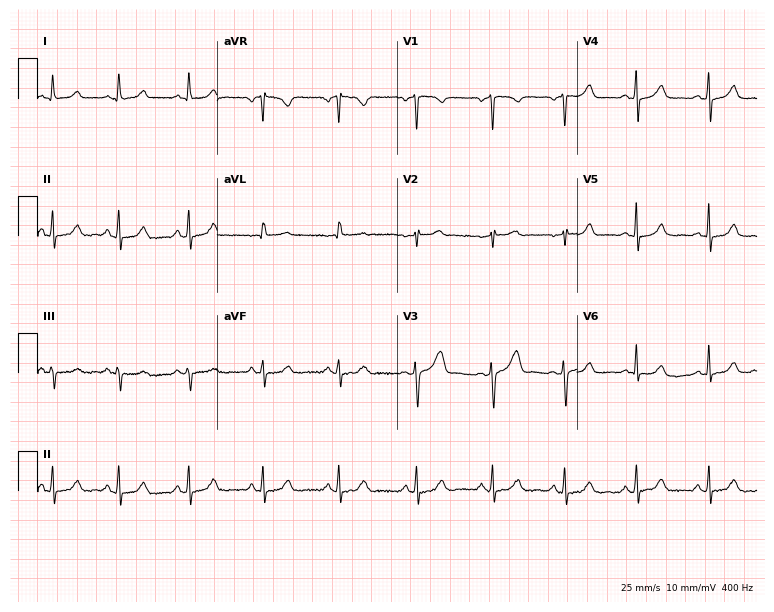
Resting 12-lead electrocardiogram (7.3-second recording at 400 Hz). Patient: a woman, 35 years old. Read as a normal ECG.